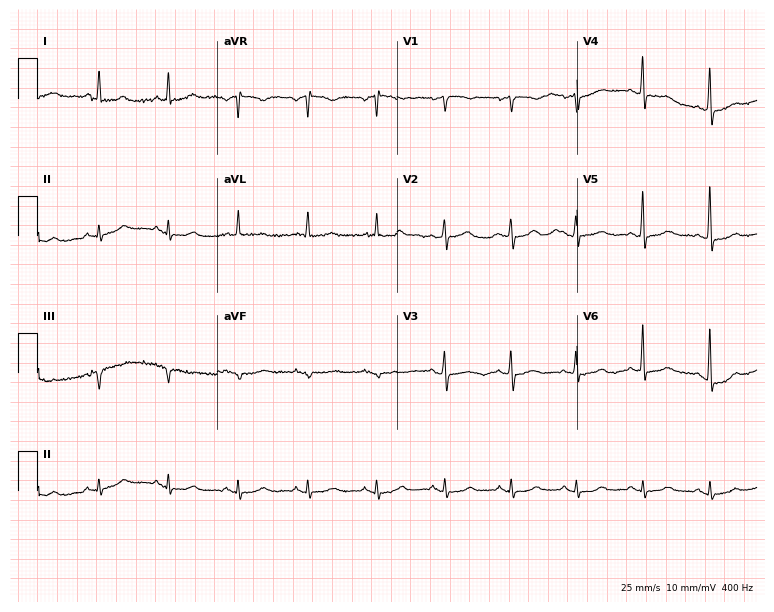
Resting 12-lead electrocardiogram (7.3-second recording at 400 Hz). Patient: a 67-year-old female. Read as a normal ECG.